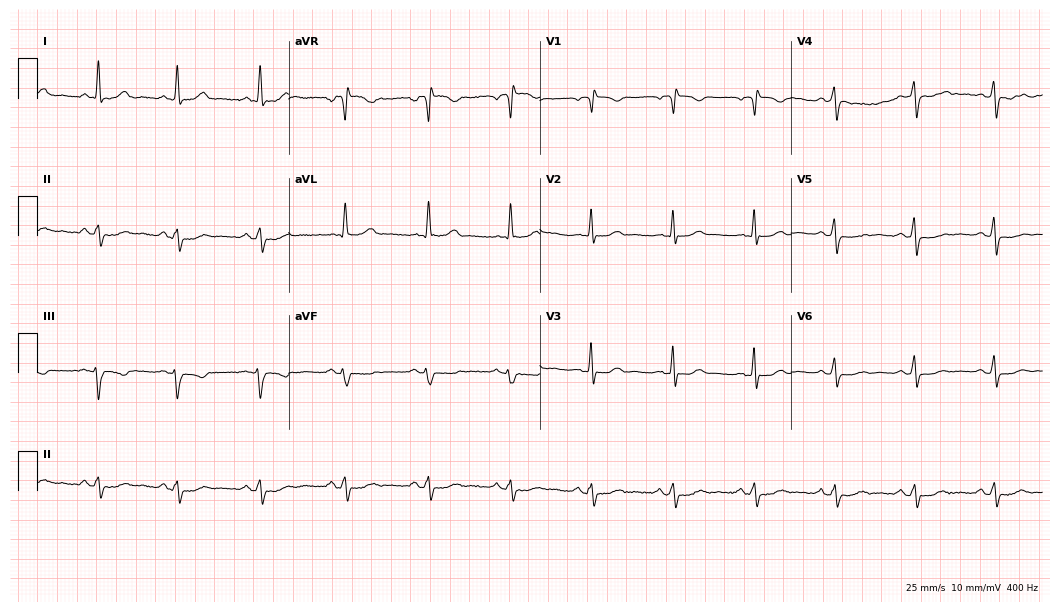
Resting 12-lead electrocardiogram (10.2-second recording at 400 Hz). Patient: a 62-year-old female. None of these six findings is recorded: first-degree AV block, right bundle branch block, left bundle branch block, sinus bradycardia, atrial fibrillation, sinus tachycardia.